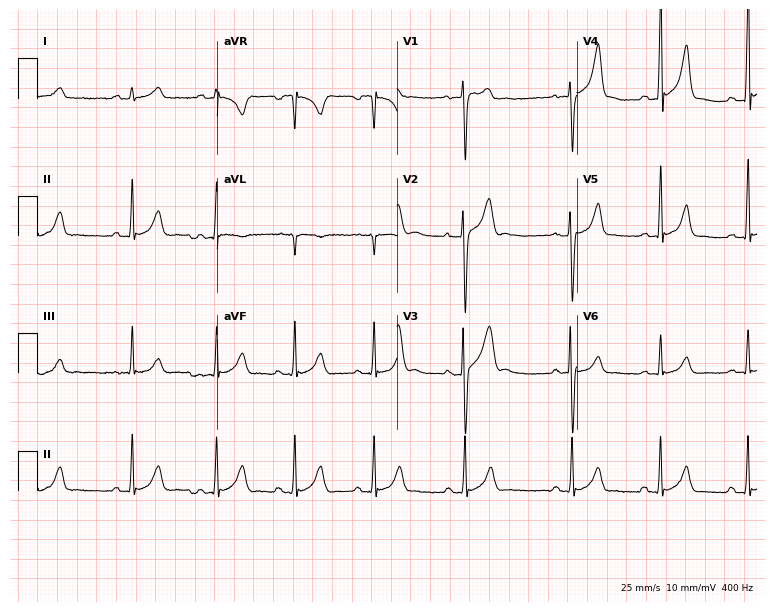
12-lead ECG from a male patient, 17 years old. Screened for six findings — first-degree AV block, right bundle branch block, left bundle branch block, sinus bradycardia, atrial fibrillation, sinus tachycardia — none is recorded.